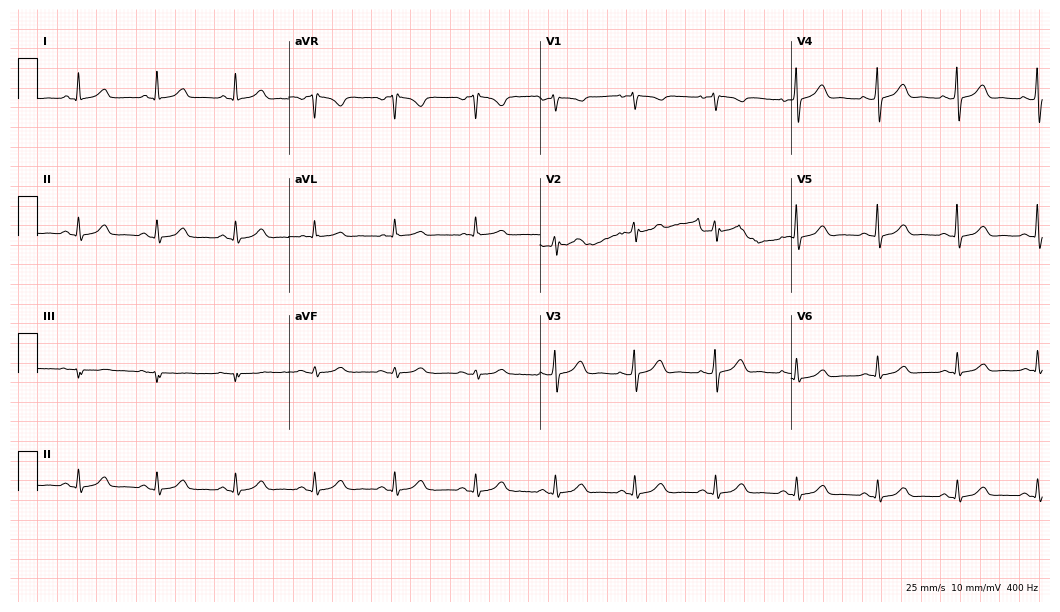
Electrocardiogram, a female patient, 63 years old. Overall reading on record: normal ECG.